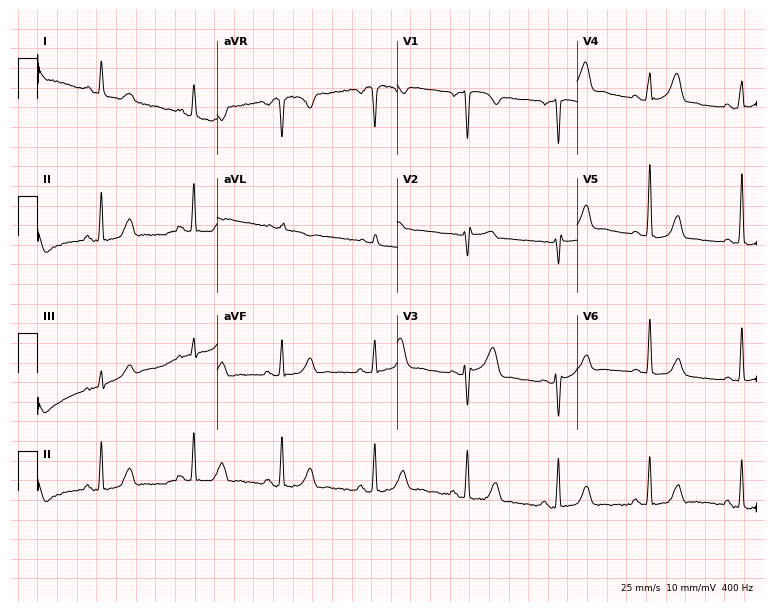
12-lead ECG from a 56-year-old woman (7.3-second recording at 400 Hz). No first-degree AV block, right bundle branch block, left bundle branch block, sinus bradycardia, atrial fibrillation or sinus tachycardia recorded for this tracing.